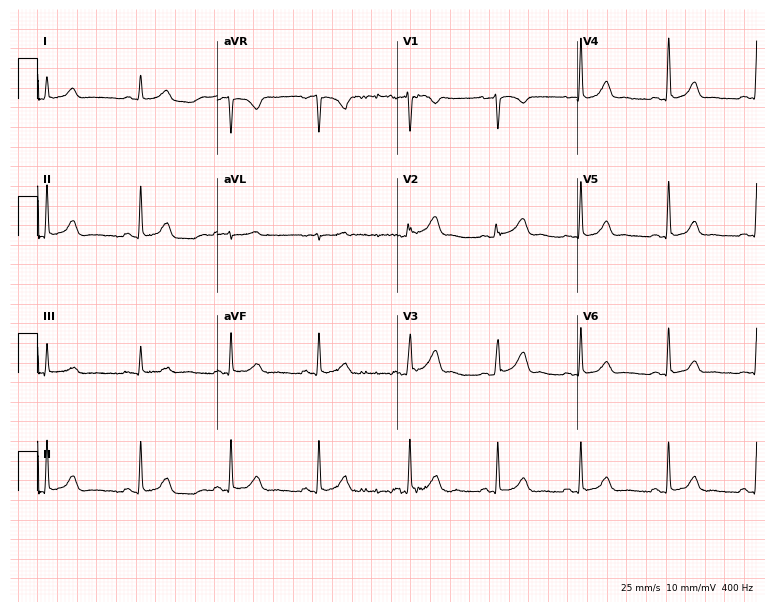
Electrocardiogram (7.3-second recording at 400 Hz), a 41-year-old female. Overall reading on record: normal ECG.